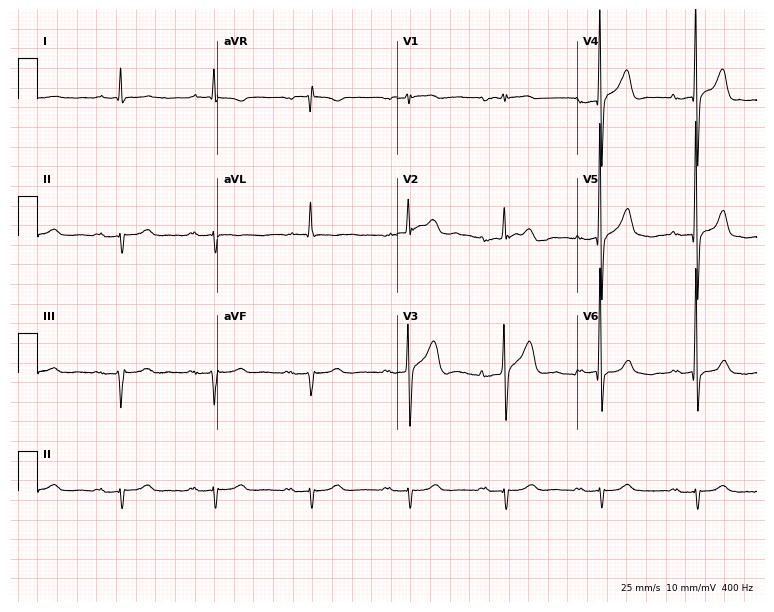
Standard 12-lead ECG recorded from a man, 75 years old (7.3-second recording at 400 Hz). The tracing shows first-degree AV block.